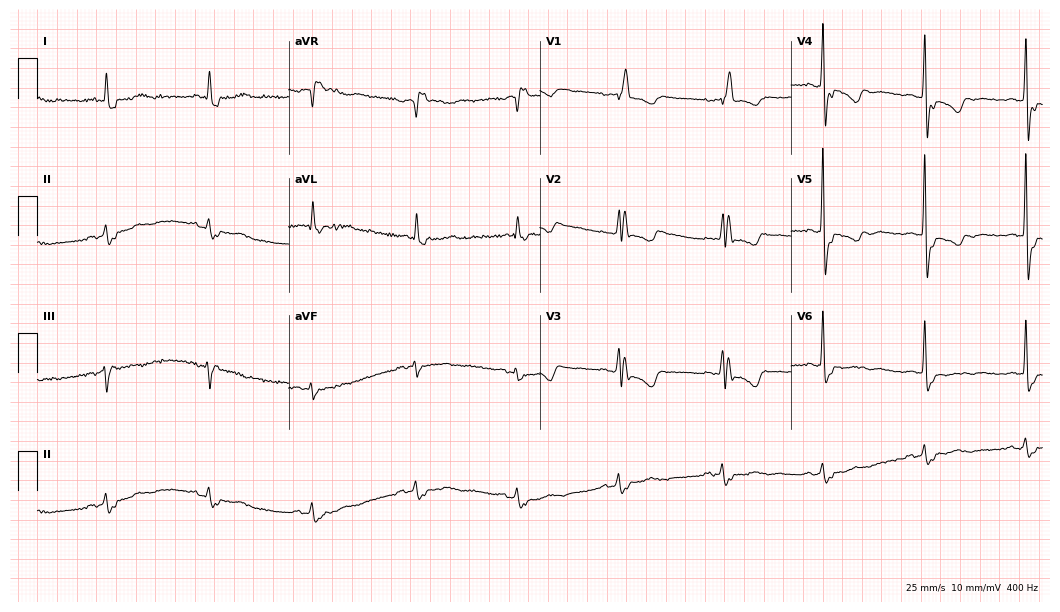
12-lead ECG from a 77-year-old female (10.2-second recording at 400 Hz). Shows right bundle branch block.